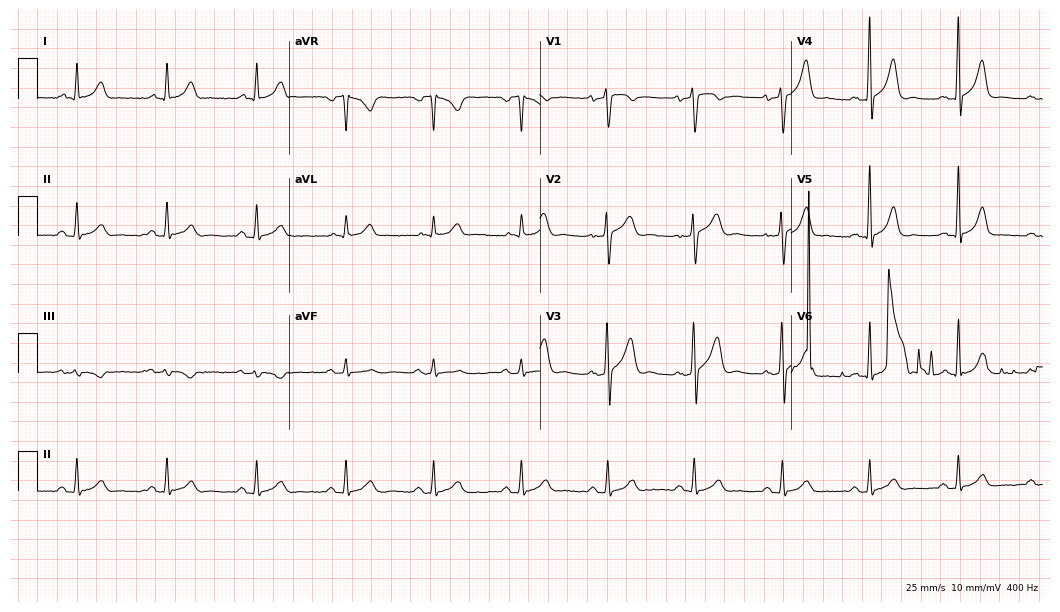
12-lead ECG (10.2-second recording at 400 Hz) from a 61-year-old man. Labelled as a normal ECG.